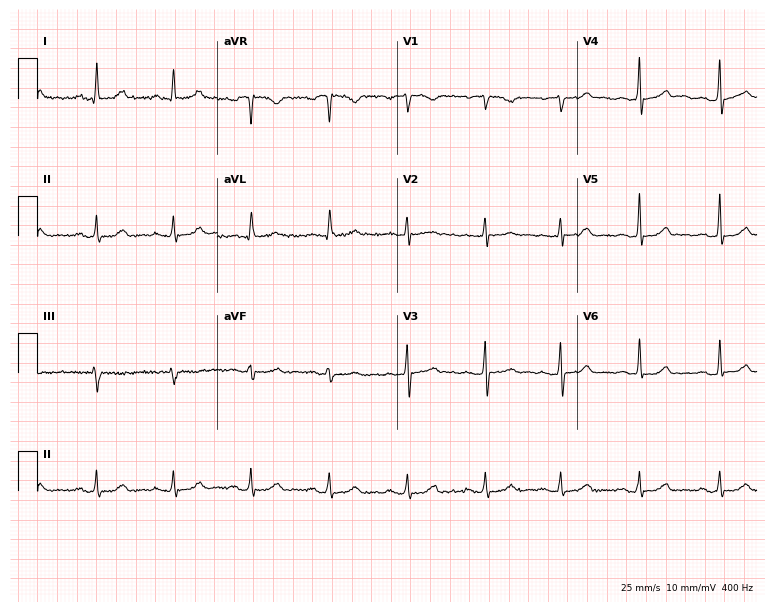
Electrocardiogram, a female patient, 33 years old. Overall reading on record: normal ECG.